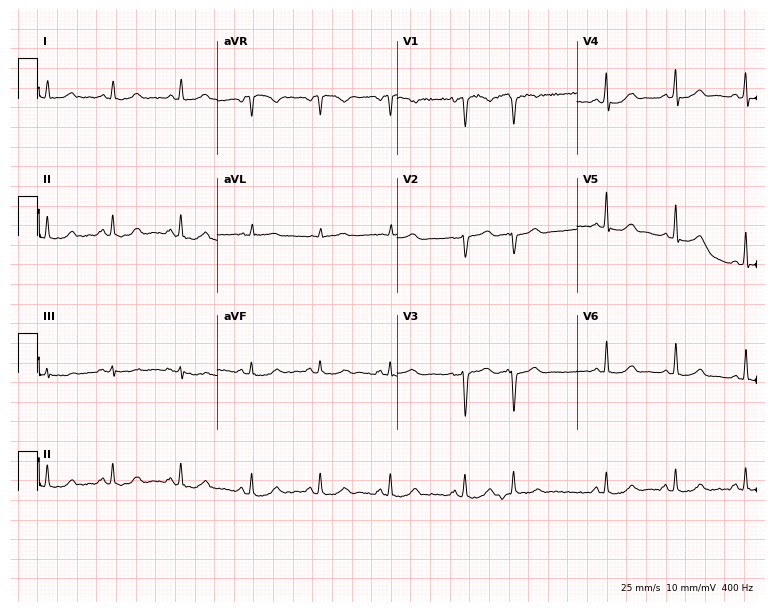
Electrocardiogram (7.3-second recording at 400 Hz), a female, 37 years old. Of the six screened findings (first-degree AV block, right bundle branch block, left bundle branch block, sinus bradycardia, atrial fibrillation, sinus tachycardia), none is recorded. Findings outside these six are not listed.